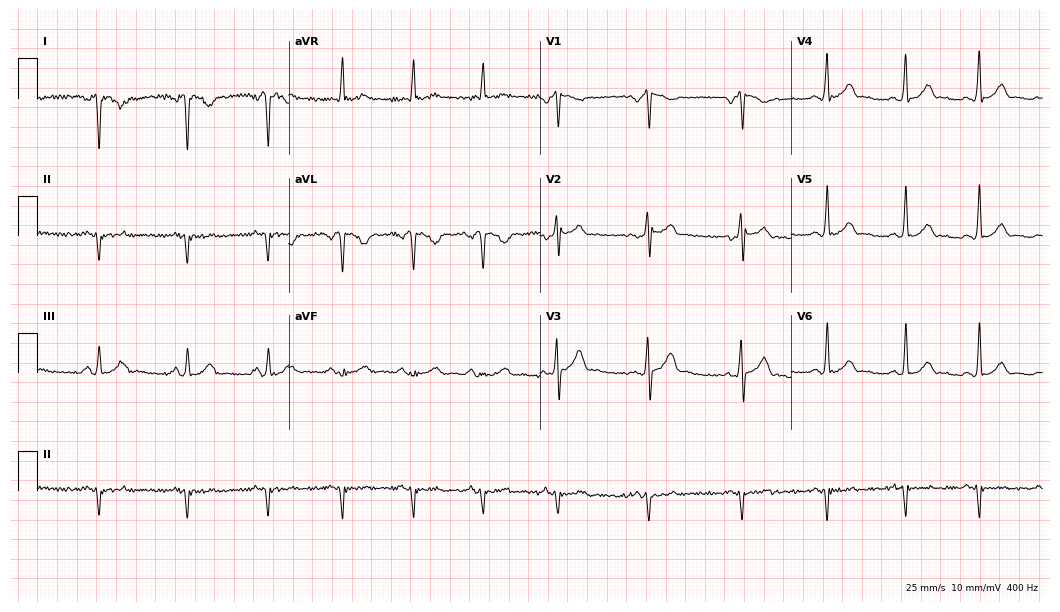
12-lead ECG from a 20-year-old male. No first-degree AV block, right bundle branch block, left bundle branch block, sinus bradycardia, atrial fibrillation or sinus tachycardia recorded for this tracing.